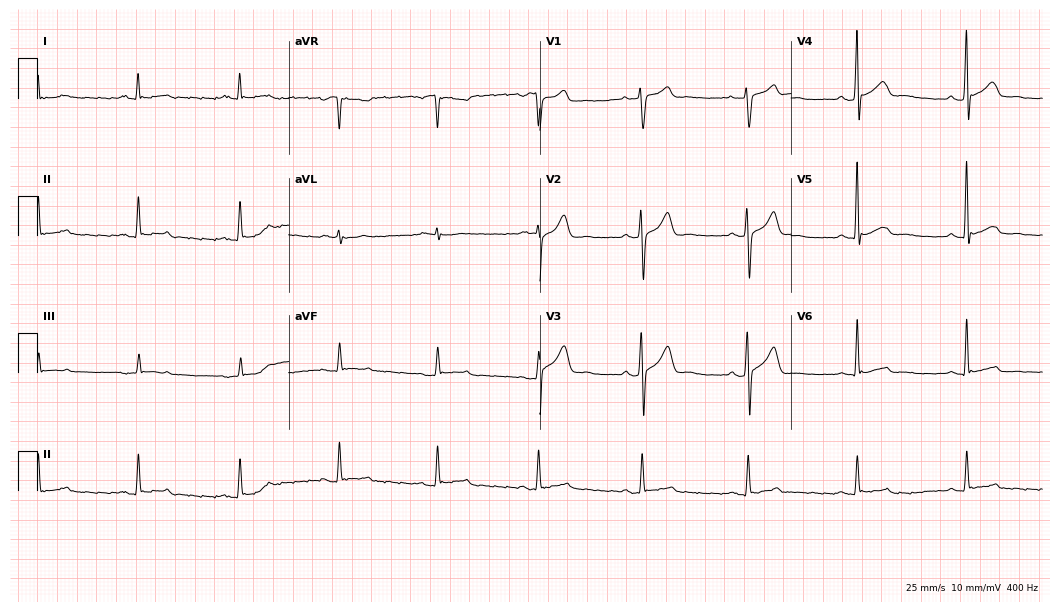
Resting 12-lead electrocardiogram (10.2-second recording at 400 Hz). Patient: a male, 50 years old. None of these six findings is recorded: first-degree AV block, right bundle branch block, left bundle branch block, sinus bradycardia, atrial fibrillation, sinus tachycardia.